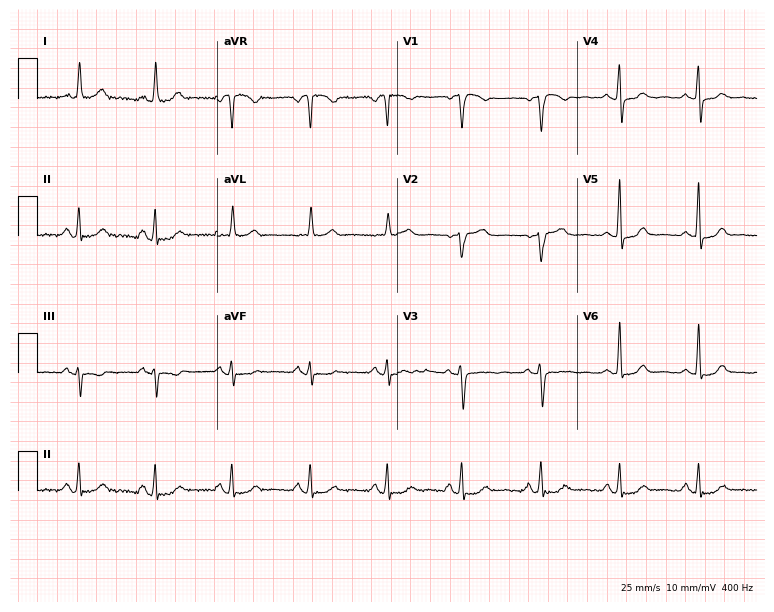
Standard 12-lead ECG recorded from a female, 64 years old (7.3-second recording at 400 Hz). Read as a normal ECG.